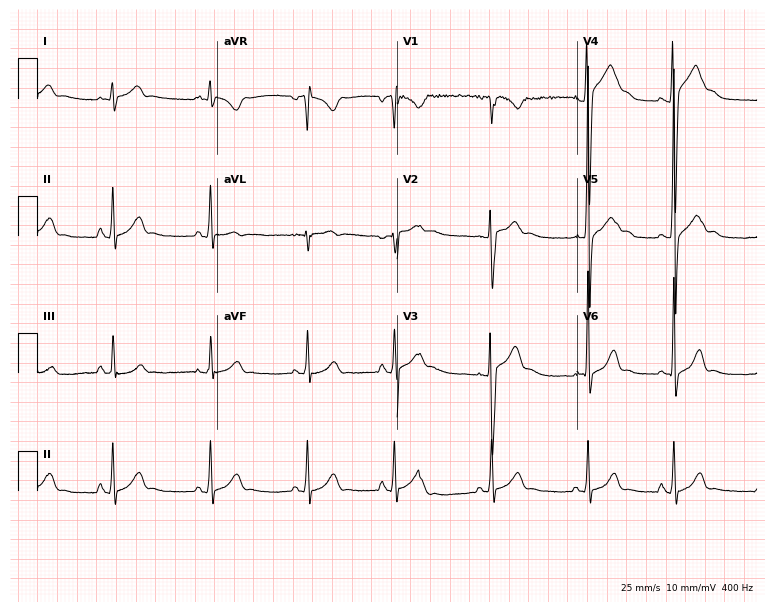
ECG — a 24-year-old male patient. Screened for six findings — first-degree AV block, right bundle branch block, left bundle branch block, sinus bradycardia, atrial fibrillation, sinus tachycardia — none is recorded.